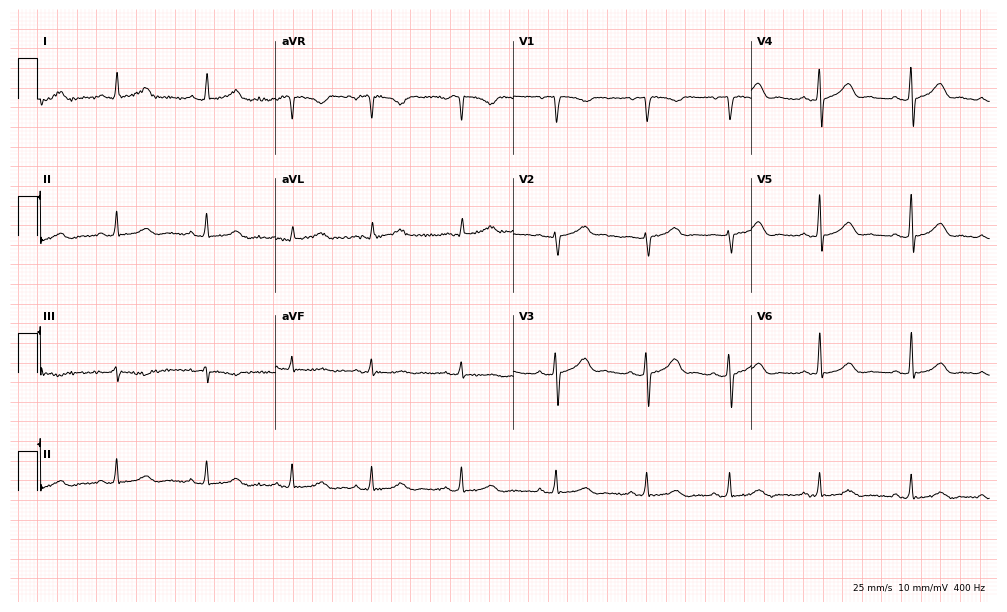
Electrocardiogram (9.7-second recording at 400 Hz), a woman, 35 years old. Overall reading on record: normal ECG.